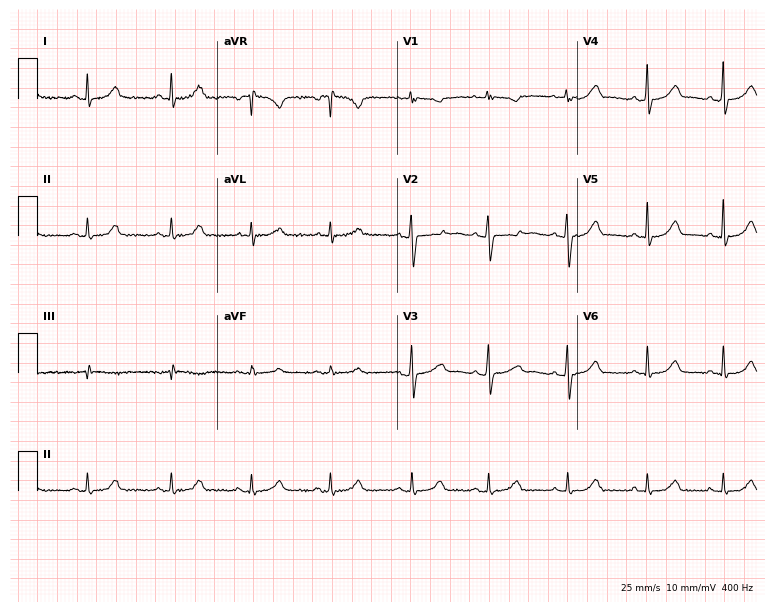
Electrocardiogram, a 23-year-old female patient. Overall reading on record: normal ECG.